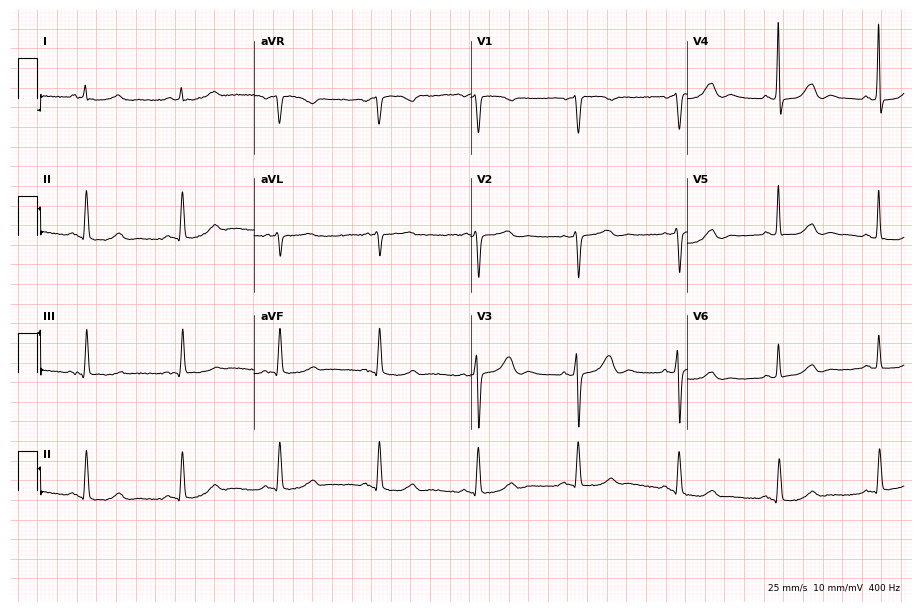
Resting 12-lead electrocardiogram (8.8-second recording at 400 Hz). Patient: a 74-year-old man. Read as a normal ECG.